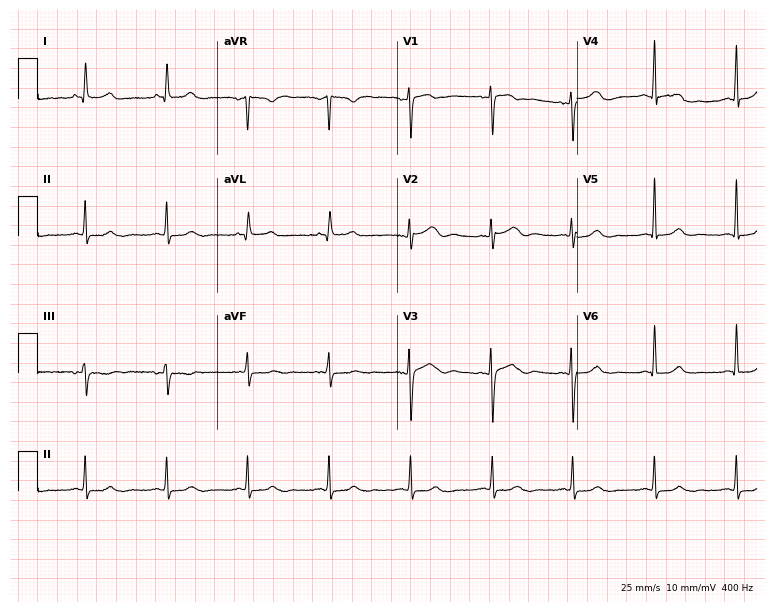
Electrocardiogram (7.3-second recording at 400 Hz), a female patient, 42 years old. Of the six screened findings (first-degree AV block, right bundle branch block, left bundle branch block, sinus bradycardia, atrial fibrillation, sinus tachycardia), none is recorded. Findings outside these six are not listed.